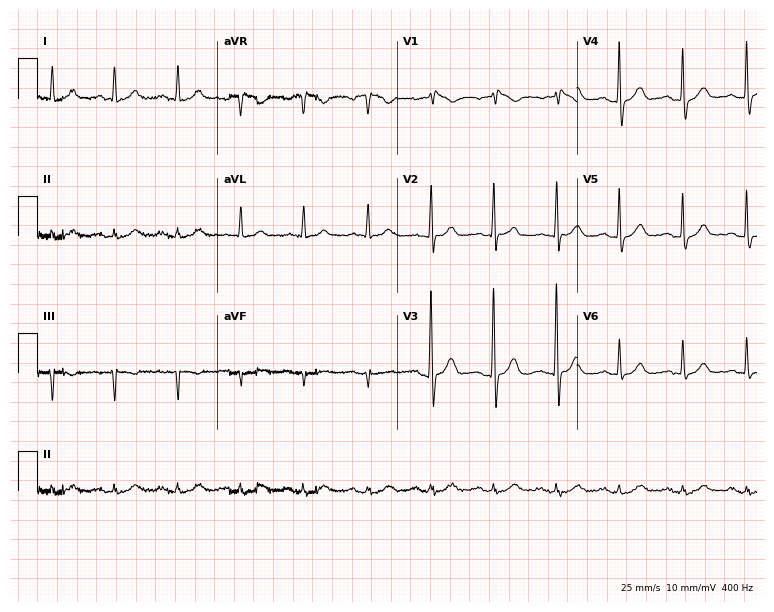
Resting 12-lead electrocardiogram (7.3-second recording at 400 Hz). Patient: a male, 80 years old. Read as a normal ECG.